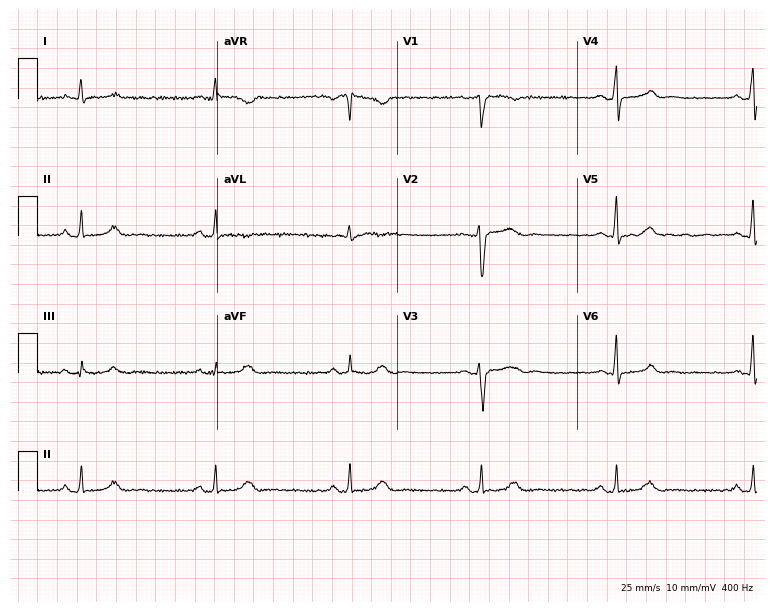
Resting 12-lead electrocardiogram. Patient: a female, 69 years old. None of these six findings is recorded: first-degree AV block, right bundle branch block, left bundle branch block, sinus bradycardia, atrial fibrillation, sinus tachycardia.